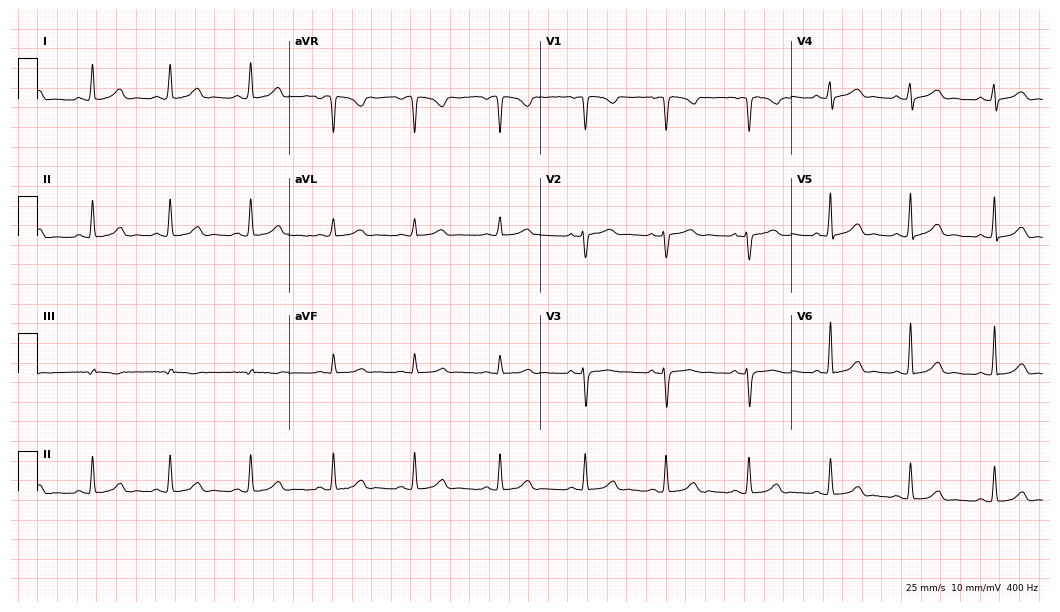
Standard 12-lead ECG recorded from a female patient, 25 years old. Read as a normal ECG.